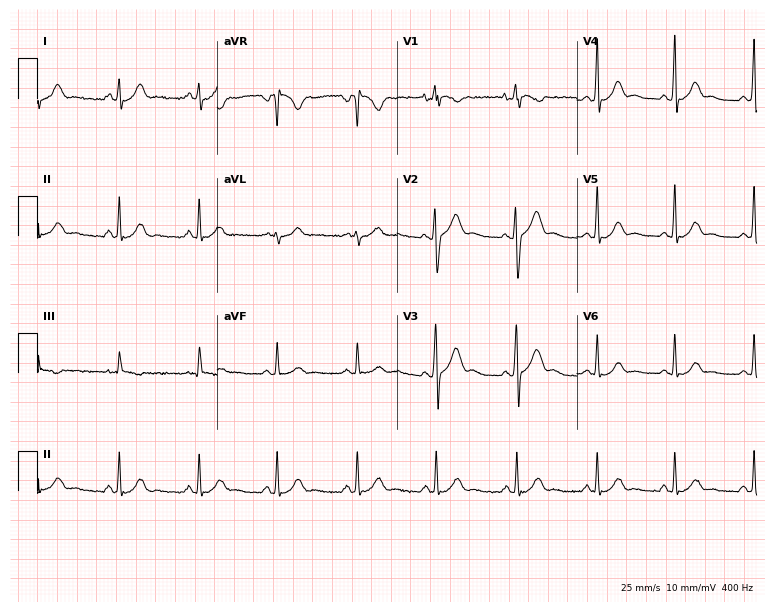
Resting 12-lead electrocardiogram (7.3-second recording at 400 Hz). Patient: a male, 31 years old. None of these six findings is recorded: first-degree AV block, right bundle branch block, left bundle branch block, sinus bradycardia, atrial fibrillation, sinus tachycardia. Findings outside these six are not listed.